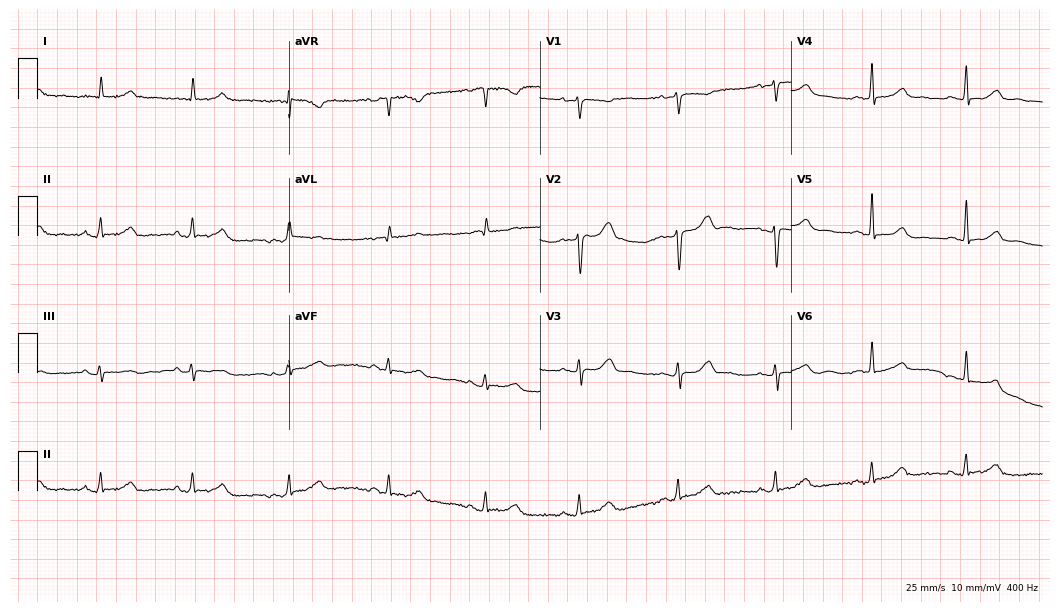
Standard 12-lead ECG recorded from a 77-year-old female patient (10.2-second recording at 400 Hz). None of these six findings is recorded: first-degree AV block, right bundle branch block, left bundle branch block, sinus bradycardia, atrial fibrillation, sinus tachycardia. Findings outside these six are not listed.